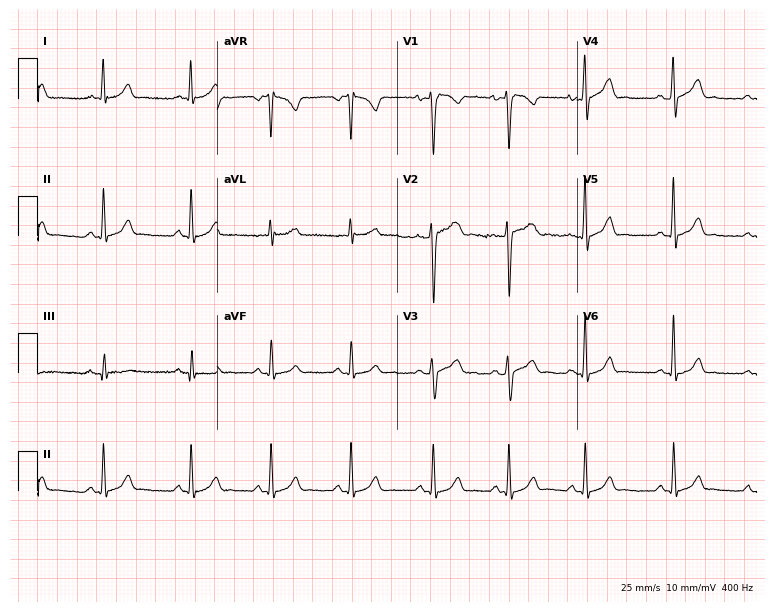
Electrocardiogram (7.3-second recording at 400 Hz), a male patient, 30 years old. Overall reading on record: normal ECG.